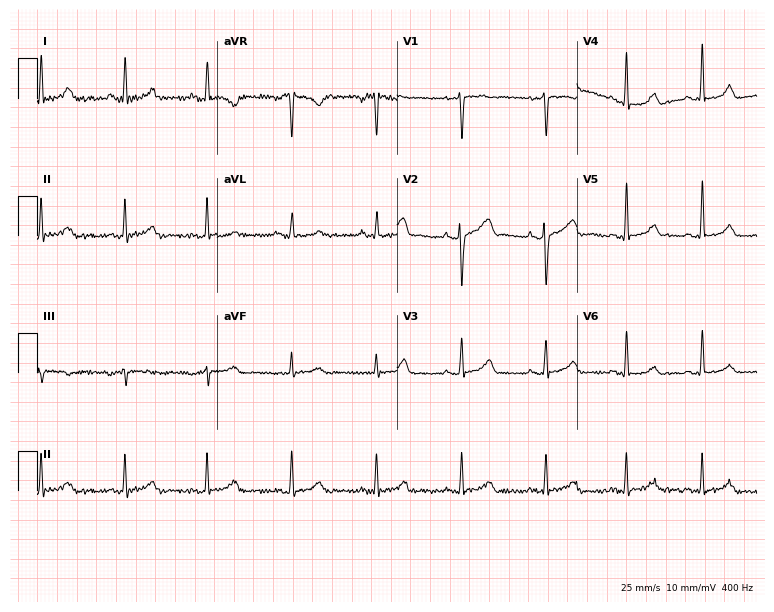
Electrocardiogram (7.3-second recording at 400 Hz), a female, 47 years old. Of the six screened findings (first-degree AV block, right bundle branch block (RBBB), left bundle branch block (LBBB), sinus bradycardia, atrial fibrillation (AF), sinus tachycardia), none is recorded.